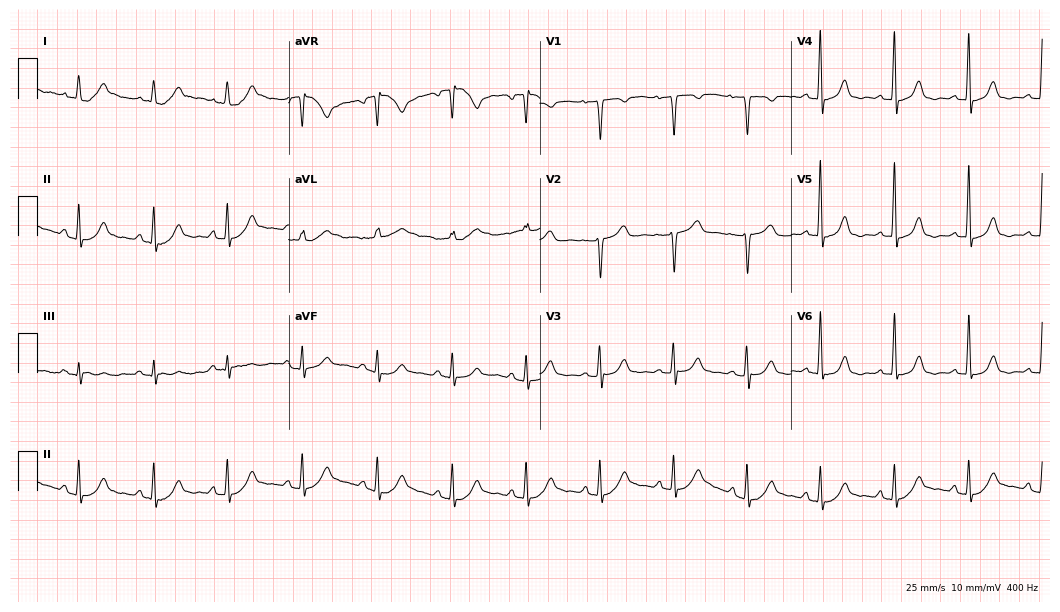
12-lead ECG from a female, 78 years old (10.2-second recording at 400 Hz). Recorded interpretation: within normal limits.